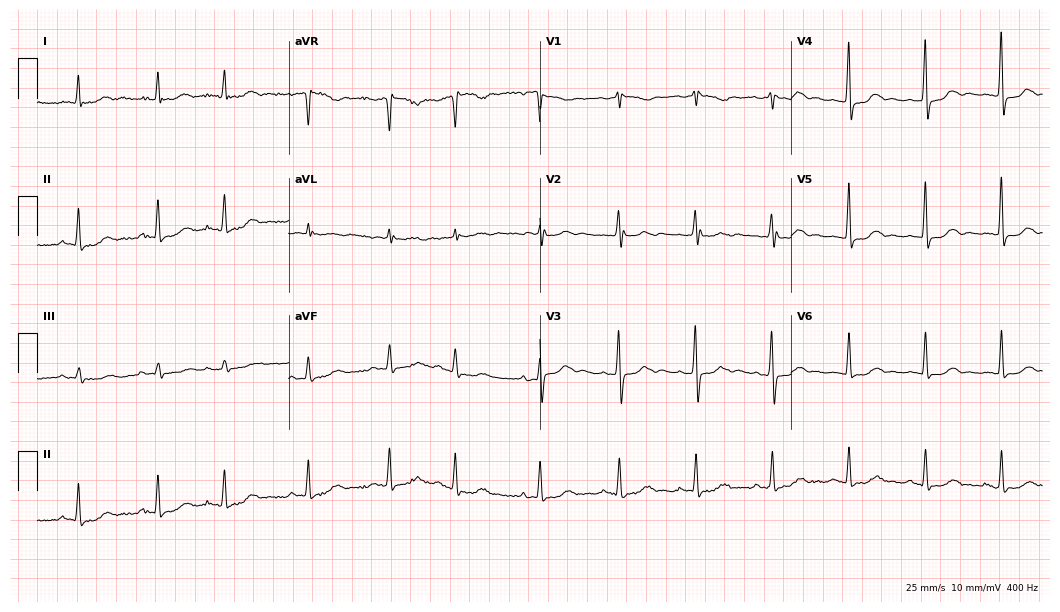
Resting 12-lead electrocardiogram. Patient: a female, 76 years old. None of these six findings is recorded: first-degree AV block, right bundle branch block, left bundle branch block, sinus bradycardia, atrial fibrillation, sinus tachycardia. Findings outside these six are not listed.